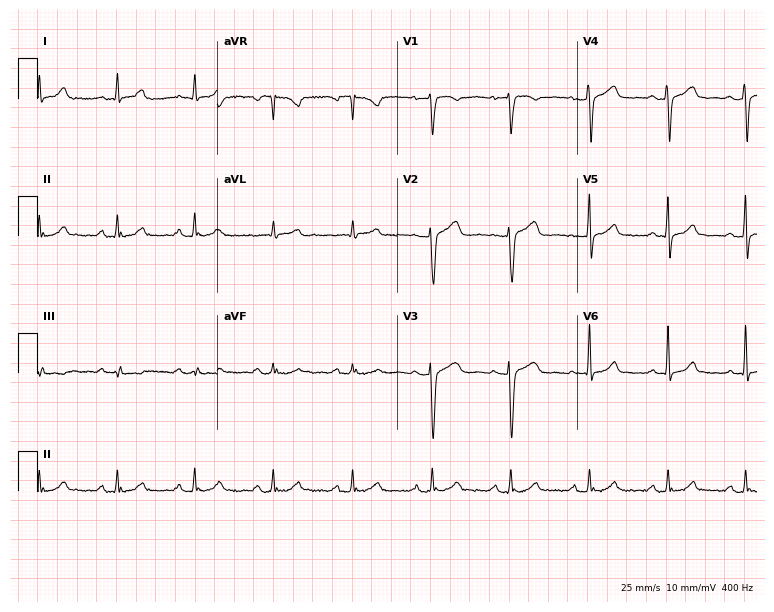
Resting 12-lead electrocardiogram (7.3-second recording at 400 Hz). Patient: a 49-year-old female. Read as a normal ECG.